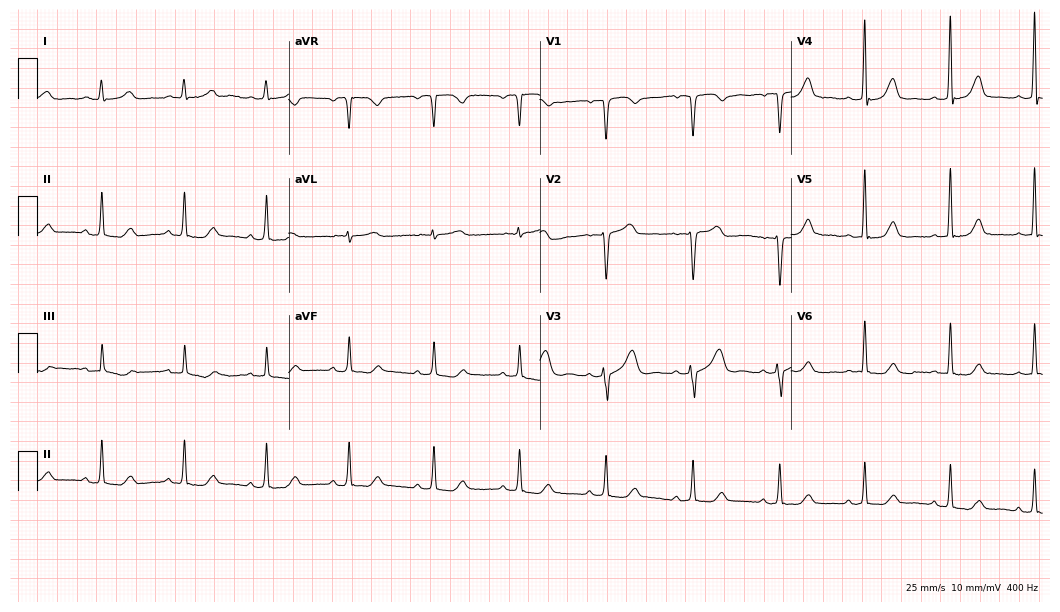
Resting 12-lead electrocardiogram. Patient: a 56-year-old woman. Read as a normal ECG.